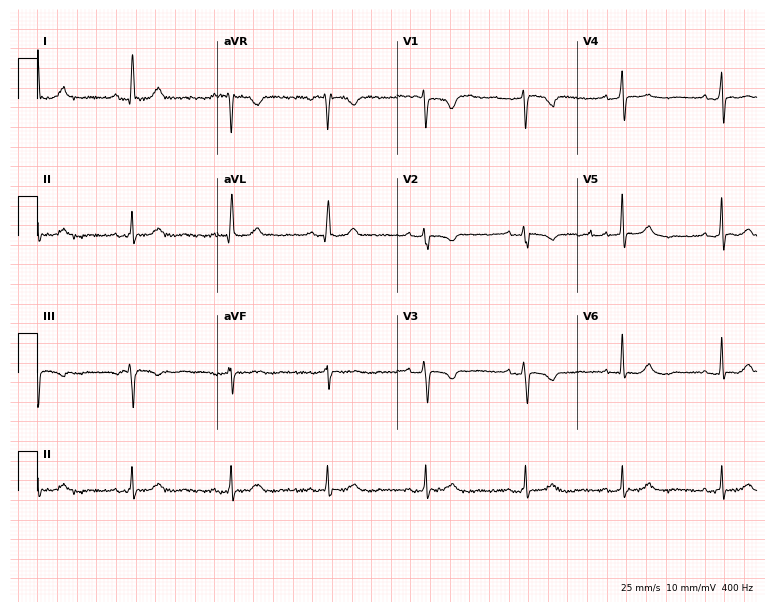
Standard 12-lead ECG recorded from a female, 60 years old (7.3-second recording at 400 Hz). None of these six findings is recorded: first-degree AV block, right bundle branch block (RBBB), left bundle branch block (LBBB), sinus bradycardia, atrial fibrillation (AF), sinus tachycardia. Findings outside these six are not listed.